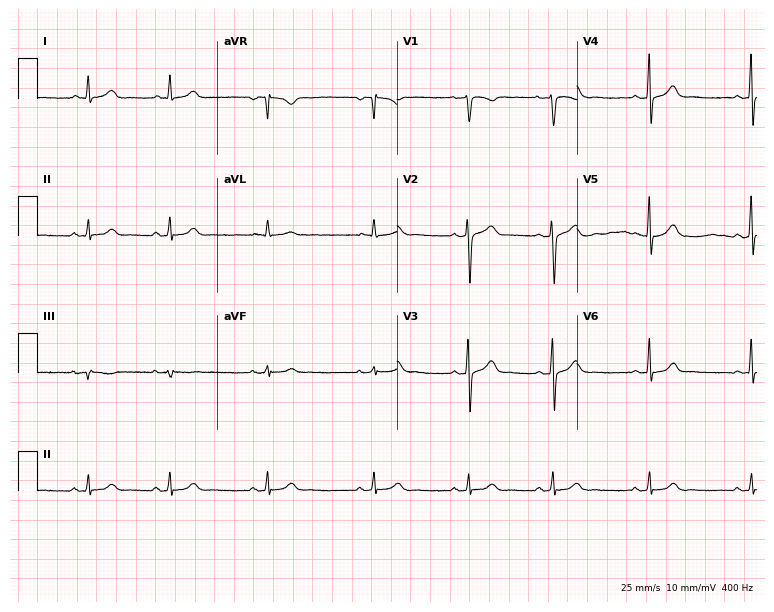
Resting 12-lead electrocardiogram. Patient: a 34-year-old female. Read as a normal ECG.